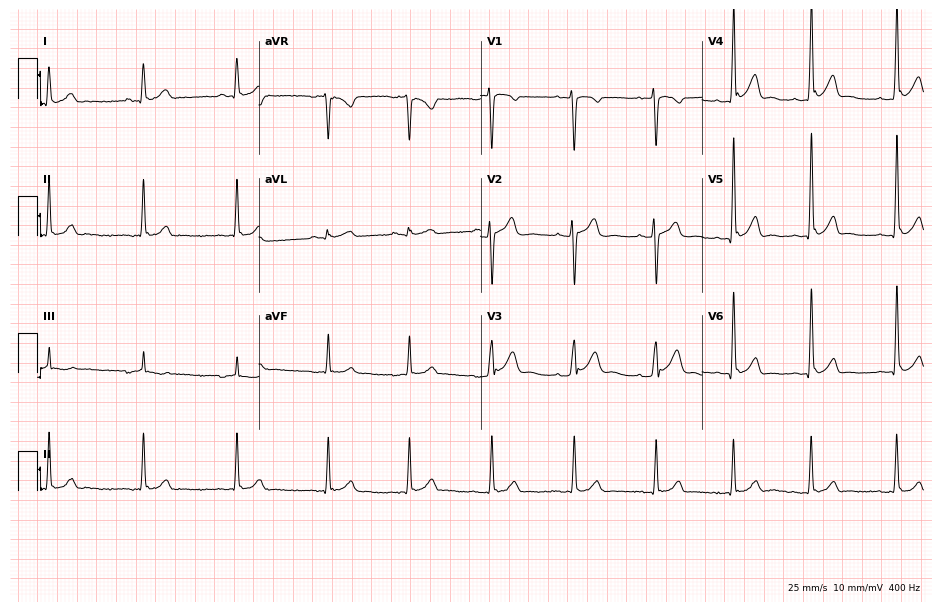
Resting 12-lead electrocardiogram. Patient: a 25-year-old man. None of these six findings is recorded: first-degree AV block, right bundle branch block, left bundle branch block, sinus bradycardia, atrial fibrillation, sinus tachycardia. Only these six findings were labelled.